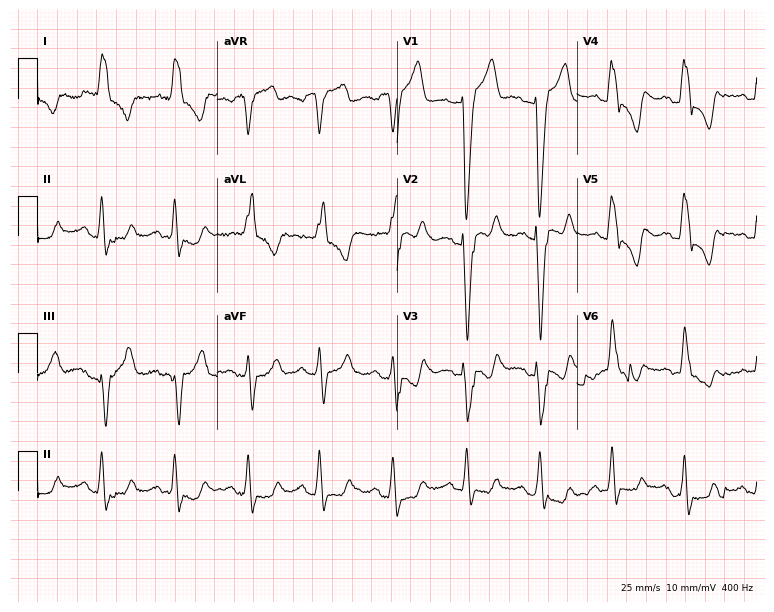
Standard 12-lead ECG recorded from a 79-year-old female patient (7.3-second recording at 400 Hz). None of these six findings is recorded: first-degree AV block, right bundle branch block, left bundle branch block, sinus bradycardia, atrial fibrillation, sinus tachycardia.